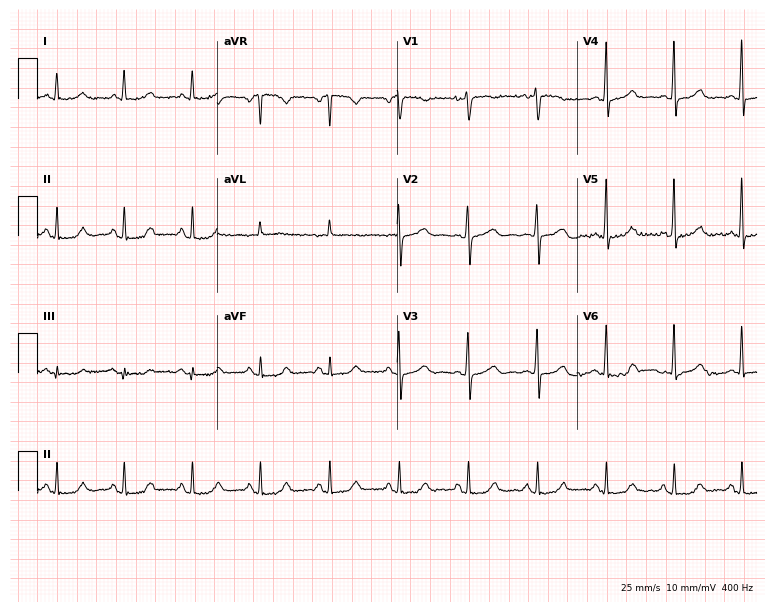
Electrocardiogram (7.3-second recording at 400 Hz), a female patient, 52 years old. Overall reading on record: normal ECG.